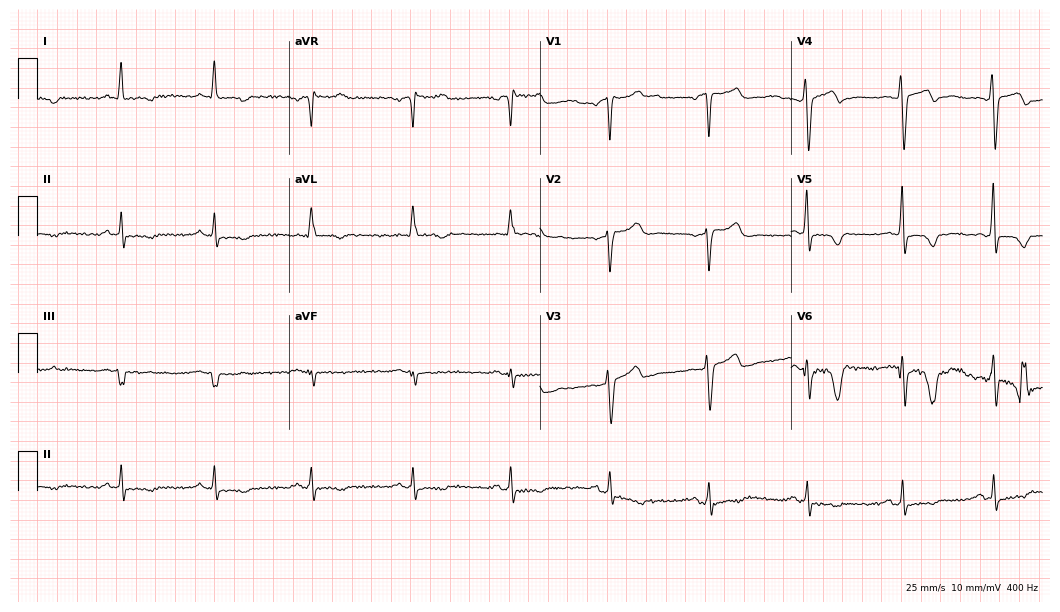
12-lead ECG from a 57-year-old male patient. Screened for six findings — first-degree AV block, right bundle branch block, left bundle branch block, sinus bradycardia, atrial fibrillation, sinus tachycardia — none is recorded.